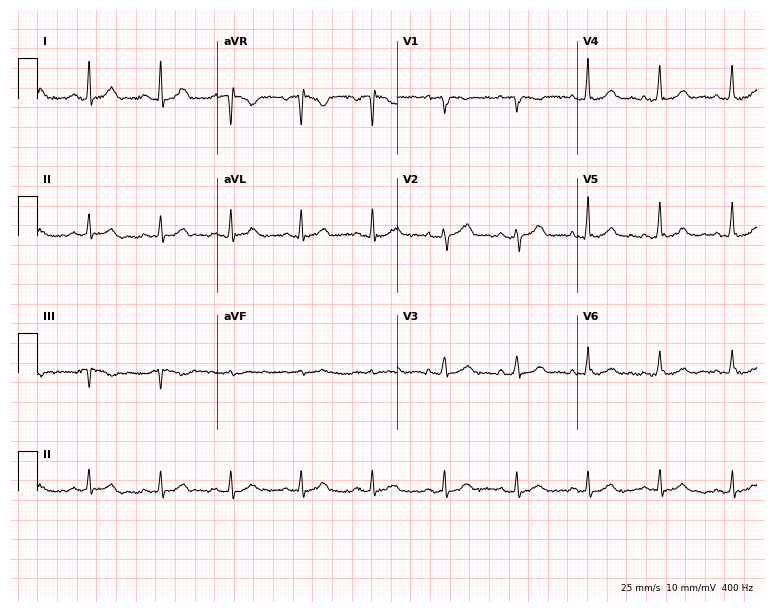
Resting 12-lead electrocardiogram (7.3-second recording at 400 Hz). Patient: a 53-year-old woman. Read as a normal ECG.